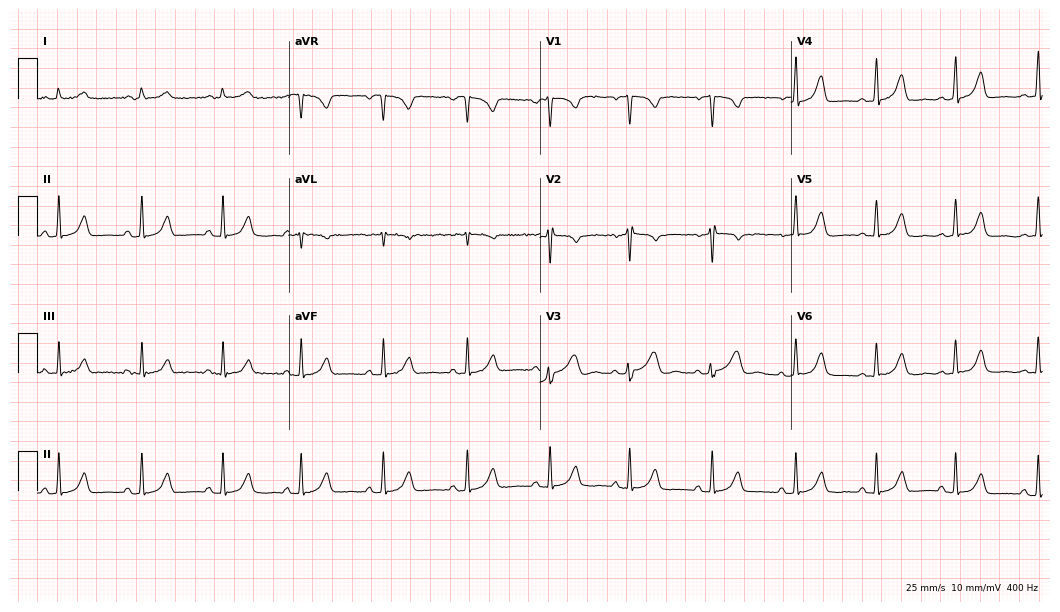
Resting 12-lead electrocardiogram (10.2-second recording at 400 Hz). Patient: a 27-year-old woman. None of these six findings is recorded: first-degree AV block, right bundle branch block, left bundle branch block, sinus bradycardia, atrial fibrillation, sinus tachycardia.